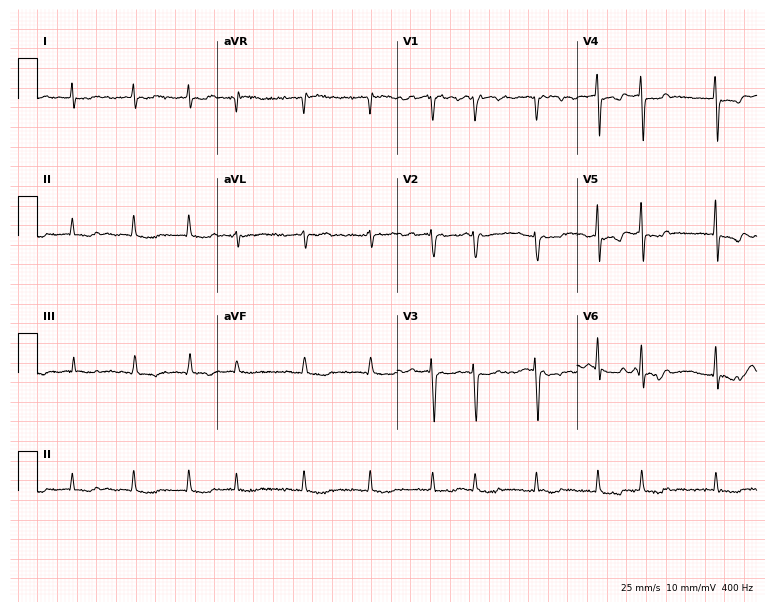
Standard 12-lead ECG recorded from a 78-year-old man. The tracing shows atrial fibrillation.